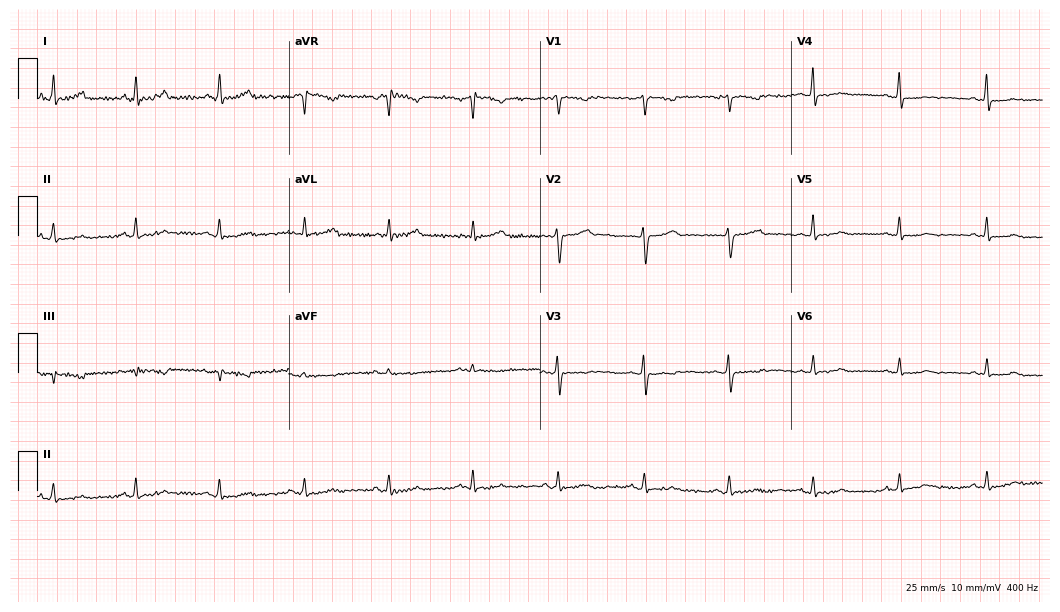
12-lead ECG from a 49-year-old female. Recorded interpretation: within normal limits.